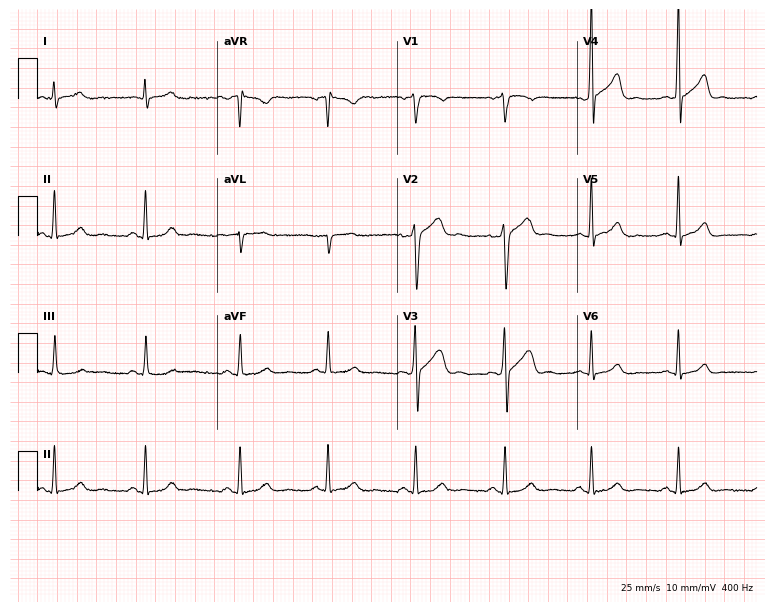
12-lead ECG from a 45-year-old male patient. Screened for six findings — first-degree AV block, right bundle branch block, left bundle branch block, sinus bradycardia, atrial fibrillation, sinus tachycardia — none is recorded.